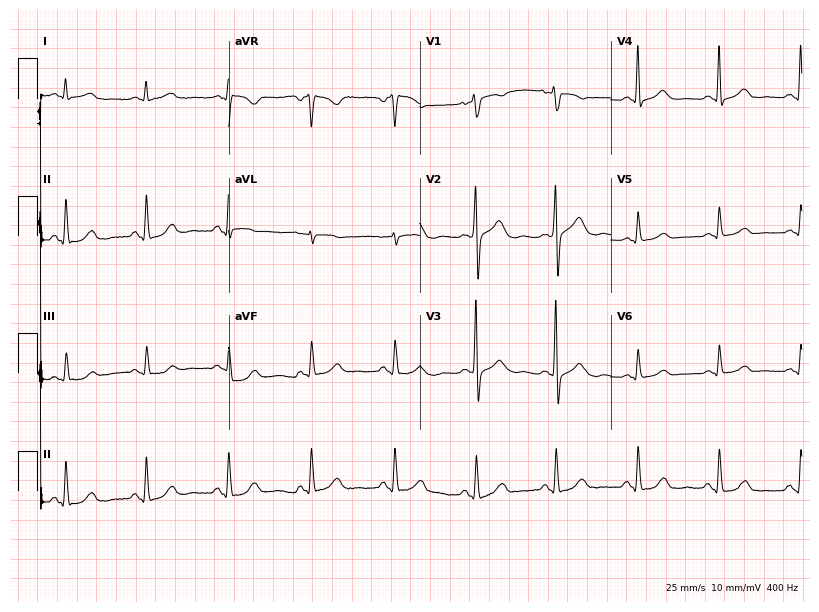
12-lead ECG from a 62-year-old woman (7.8-second recording at 400 Hz). Recorded interpretation: within normal limits.